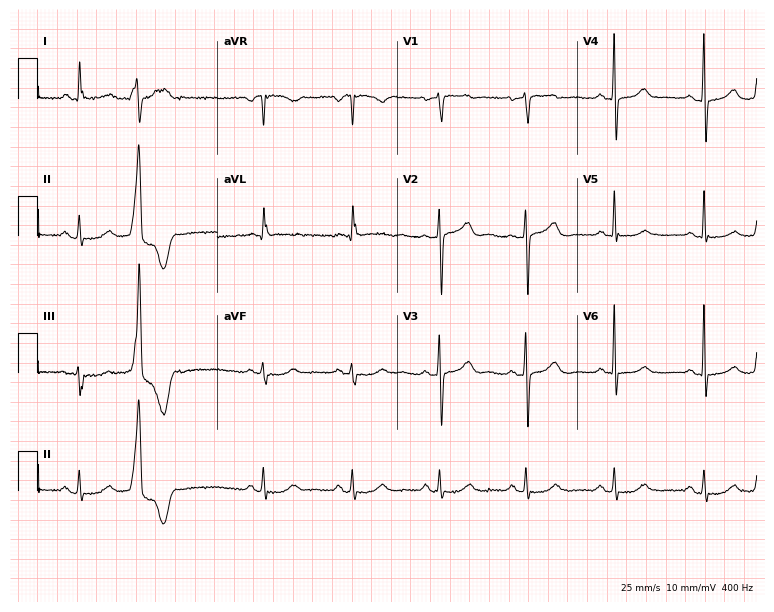
Standard 12-lead ECG recorded from a 58-year-old woman. None of these six findings is recorded: first-degree AV block, right bundle branch block, left bundle branch block, sinus bradycardia, atrial fibrillation, sinus tachycardia.